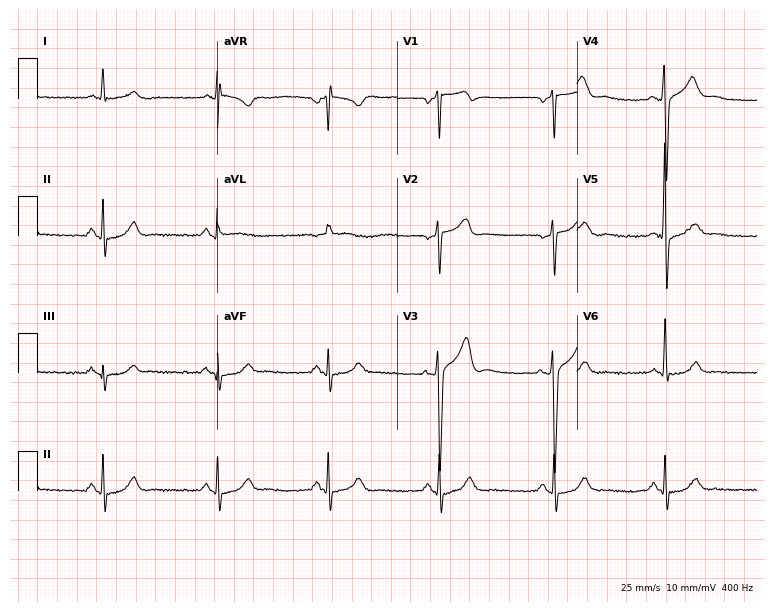
12-lead ECG from a male patient, 65 years old (7.3-second recording at 400 Hz). No first-degree AV block, right bundle branch block (RBBB), left bundle branch block (LBBB), sinus bradycardia, atrial fibrillation (AF) or sinus tachycardia recorded for this tracing. Other findings, if any, are not listed.